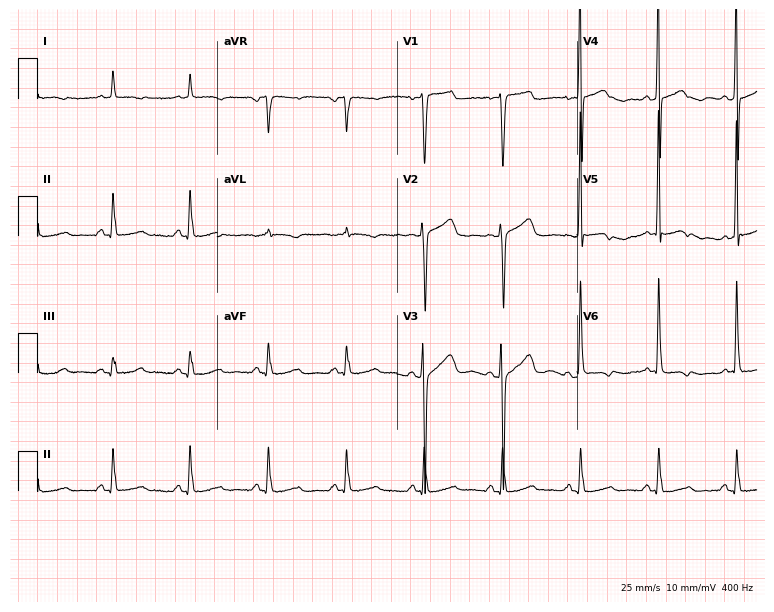
ECG — a woman, 57 years old. Screened for six findings — first-degree AV block, right bundle branch block (RBBB), left bundle branch block (LBBB), sinus bradycardia, atrial fibrillation (AF), sinus tachycardia — none is recorded. Other findings, if any, are not listed.